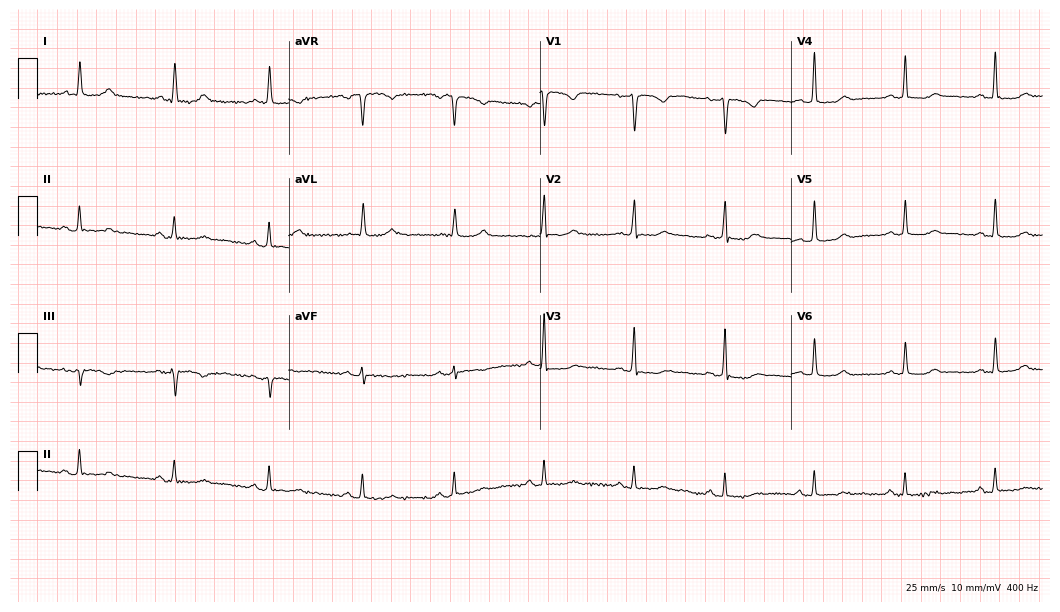
Electrocardiogram, a 69-year-old female patient. Overall reading on record: normal ECG.